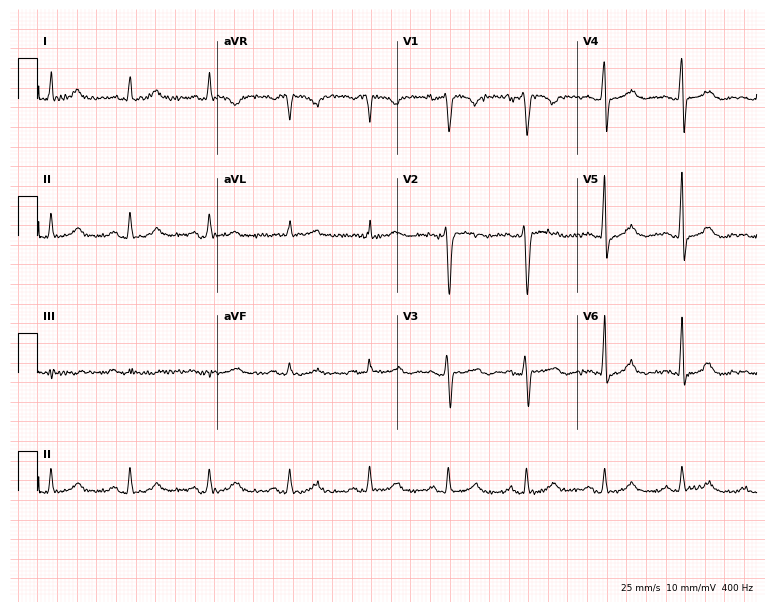
12-lead ECG from a male patient, 58 years old. Recorded interpretation: within normal limits.